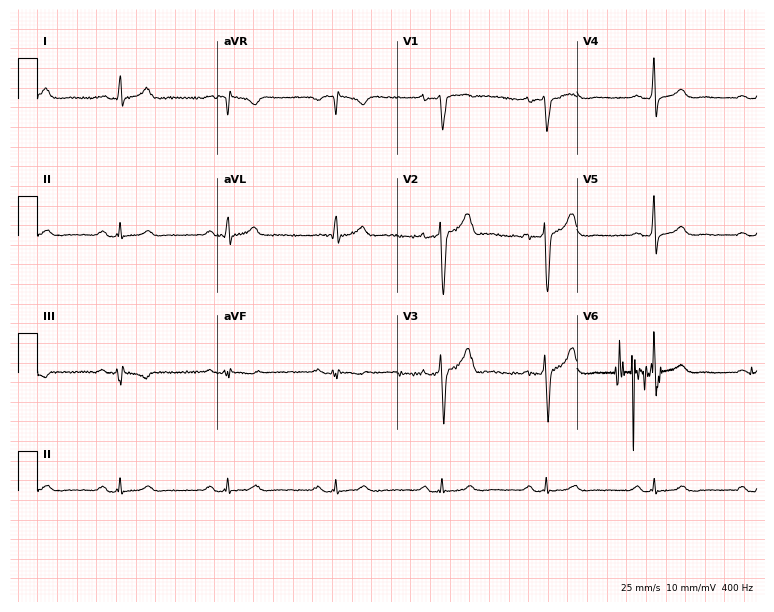
12-lead ECG (7.3-second recording at 400 Hz) from a male patient, 39 years old. Screened for six findings — first-degree AV block, right bundle branch block (RBBB), left bundle branch block (LBBB), sinus bradycardia, atrial fibrillation (AF), sinus tachycardia — none is recorded. Other findings, if any, are not listed.